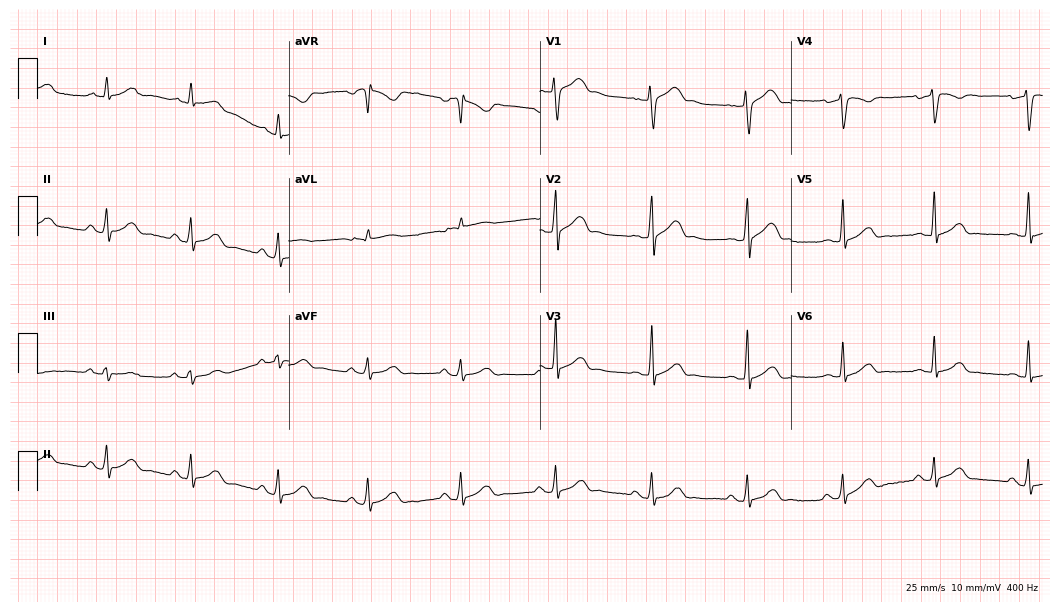
Resting 12-lead electrocardiogram. Patient: a 41-year-old man. Read as a normal ECG.